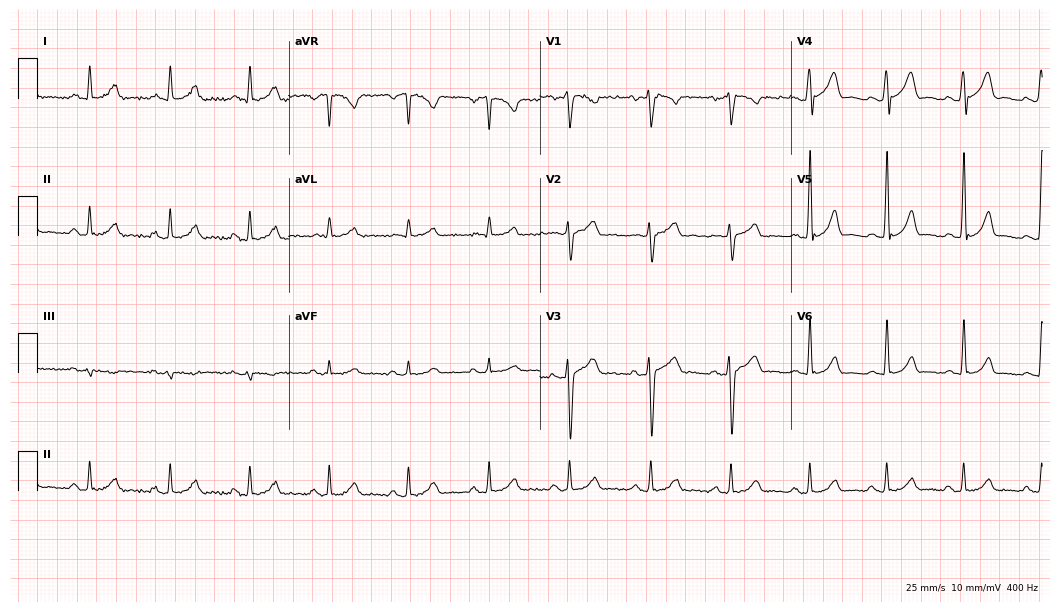
12-lead ECG from a man, 37 years old. No first-degree AV block, right bundle branch block, left bundle branch block, sinus bradycardia, atrial fibrillation or sinus tachycardia recorded for this tracing. Findings outside these six are not listed.